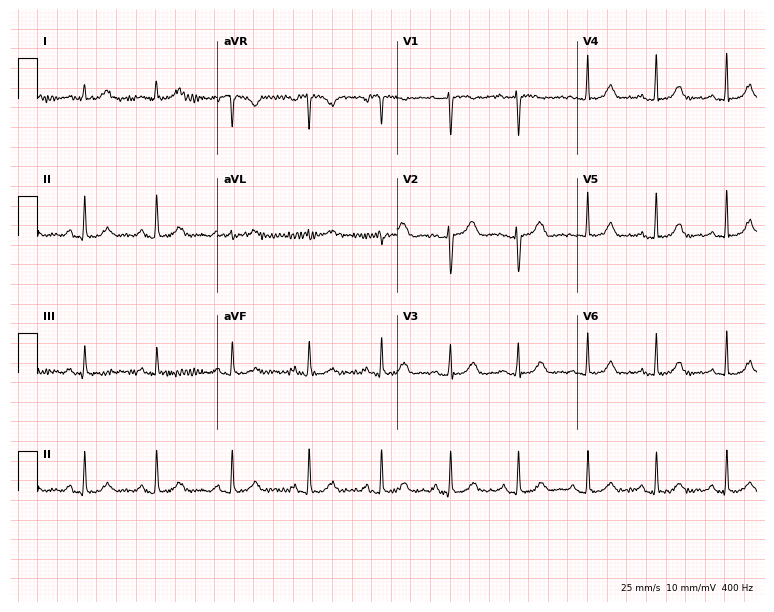
12-lead ECG from a 49-year-old woman. Labelled as a normal ECG.